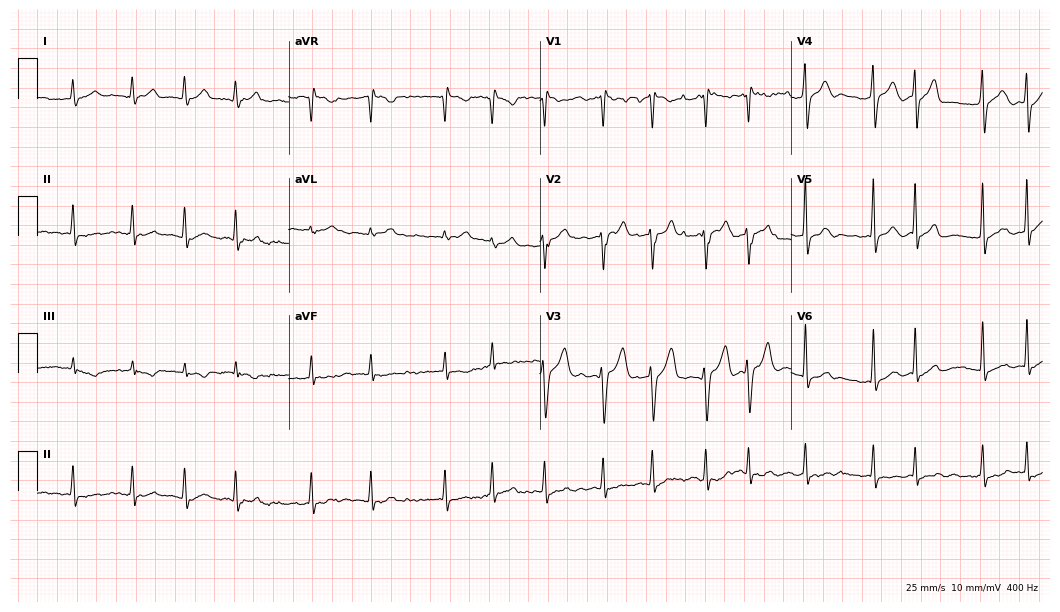
12-lead ECG from a 73-year-old man. Findings include atrial fibrillation.